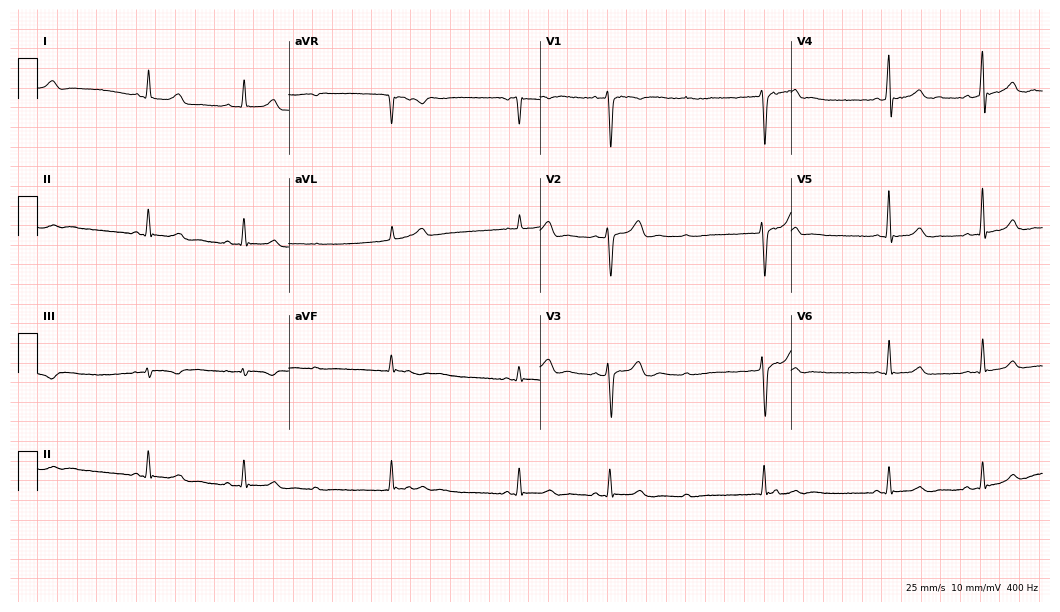
12-lead ECG from a 19-year-old man. Screened for six findings — first-degree AV block, right bundle branch block, left bundle branch block, sinus bradycardia, atrial fibrillation, sinus tachycardia — none is recorded.